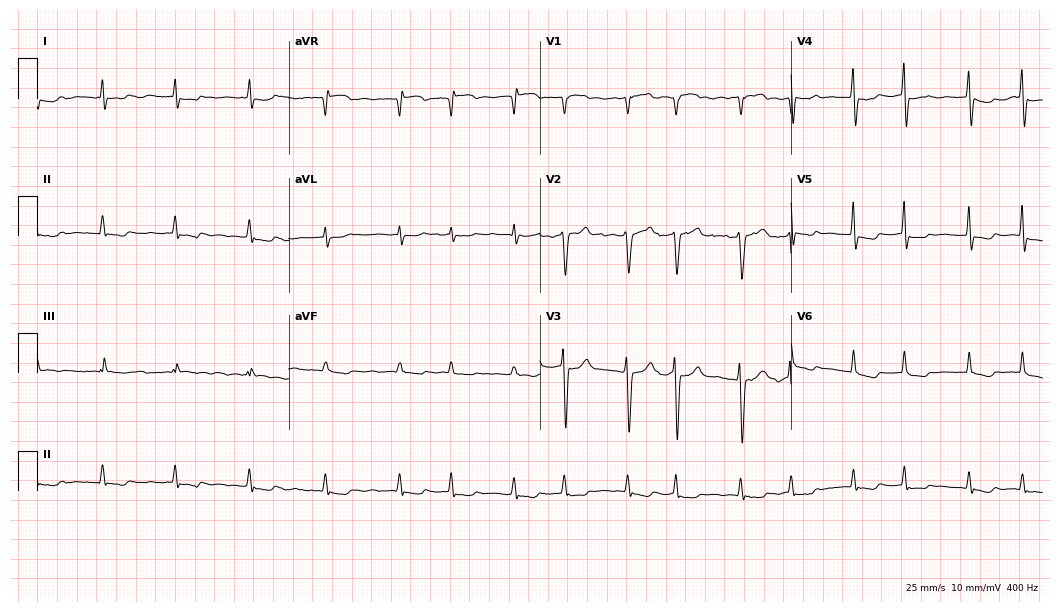
Standard 12-lead ECG recorded from a woman, 66 years old. None of these six findings is recorded: first-degree AV block, right bundle branch block, left bundle branch block, sinus bradycardia, atrial fibrillation, sinus tachycardia.